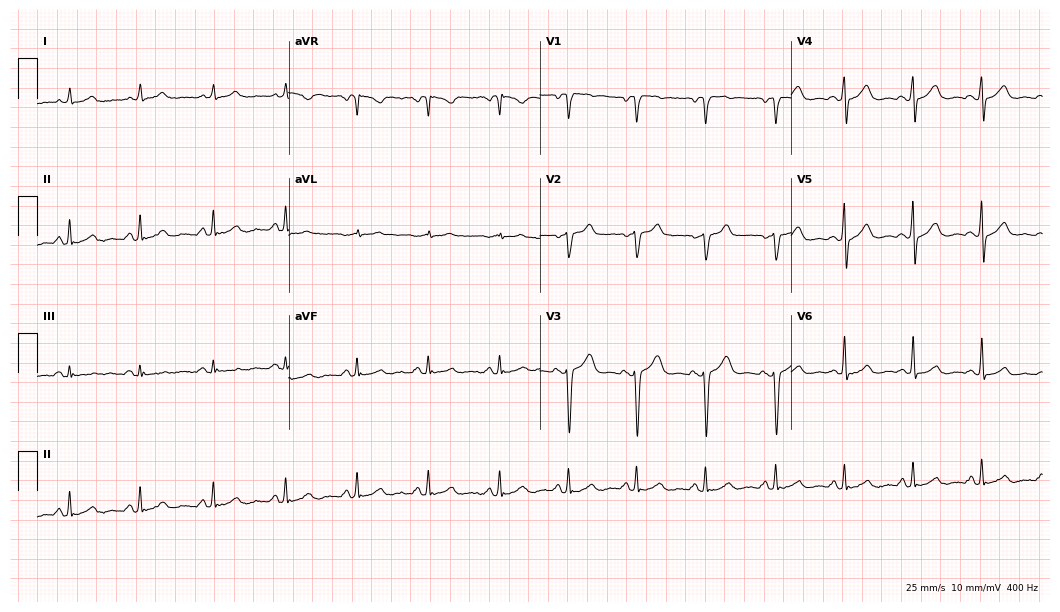
12-lead ECG from a male, 31 years old (10.2-second recording at 400 Hz). No first-degree AV block, right bundle branch block, left bundle branch block, sinus bradycardia, atrial fibrillation or sinus tachycardia recorded for this tracing.